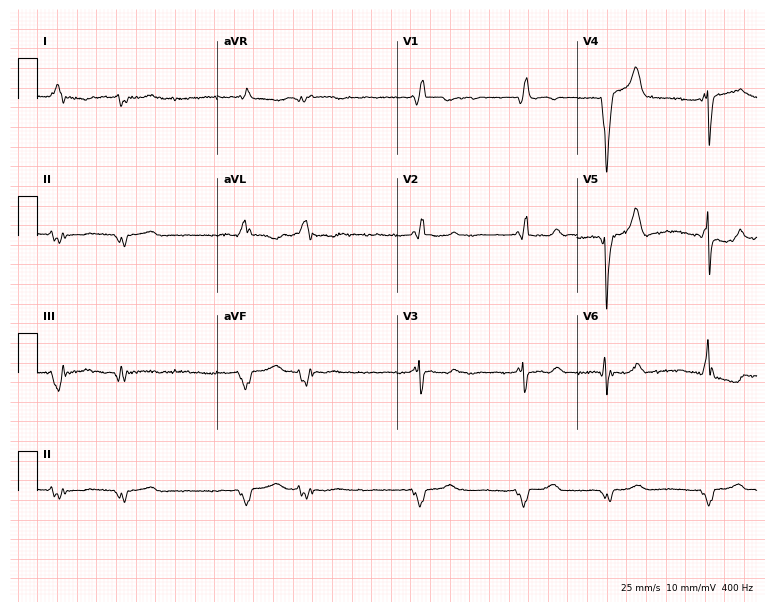
Electrocardiogram, a male, 76 years old. Interpretation includes right bundle branch block, atrial fibrillation.